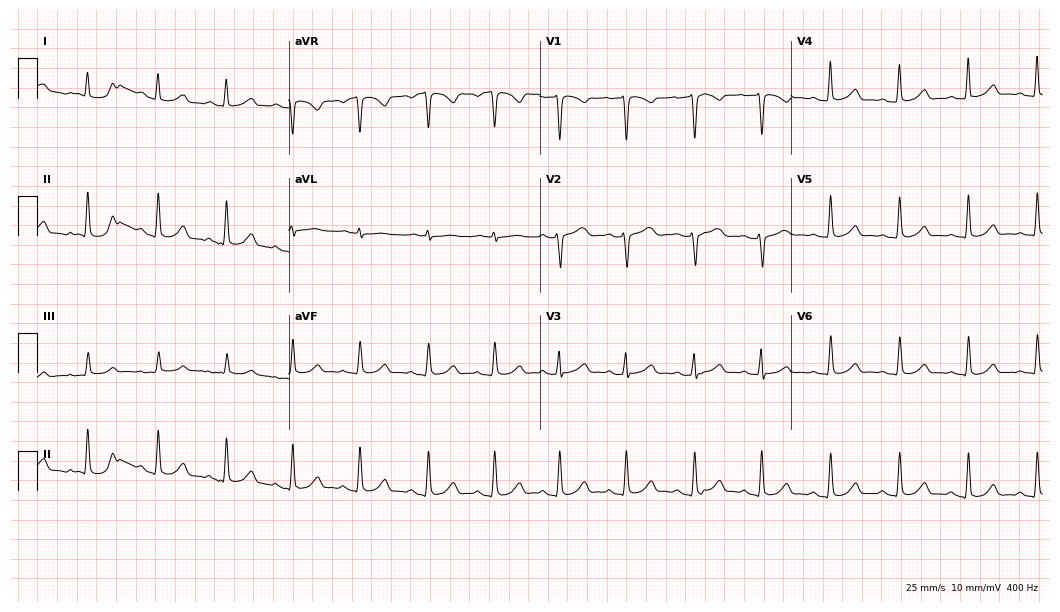
Electrocardiogram (10.2-second recording at 400 Hz), a female patient, 35 years old. Overall reading on record: normal ECG.